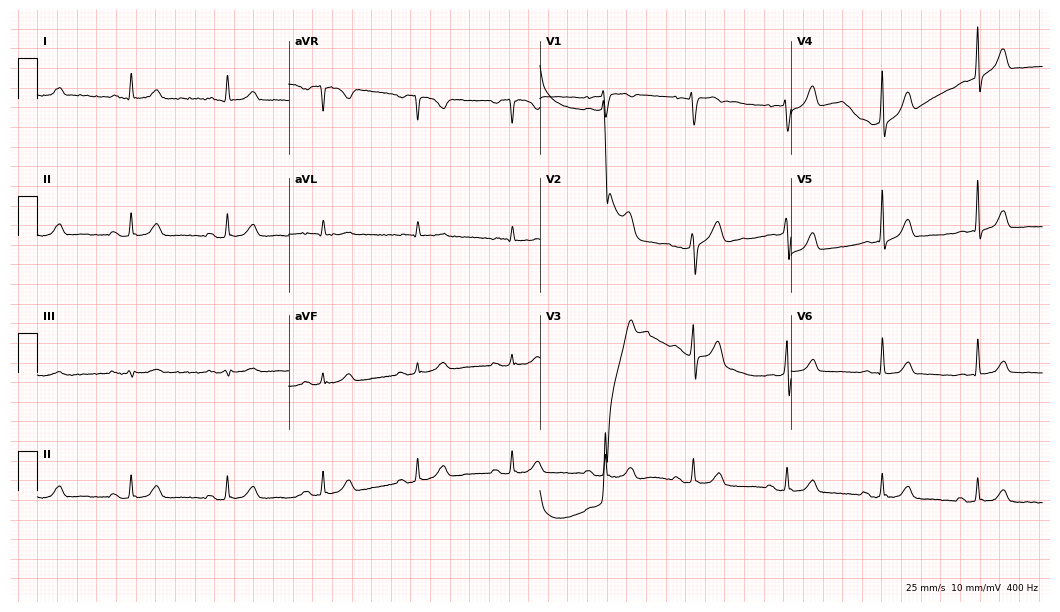
ECG (10.2-second recording at 400 Hz) — a 52-year-old woman. Screened for six findings — first-degree AV block, right bundle branch block, left bundle branch block, sinus bradycardia, atrial fibrillation, sinus tachycardia — none is recorded.